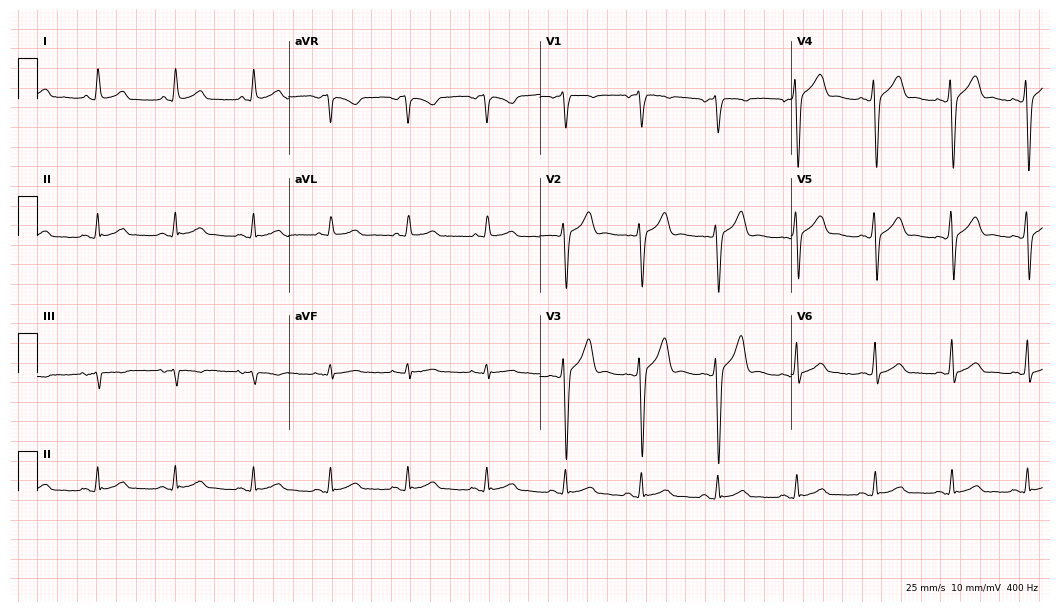
12-lead ECG from a 35-year-old male patient (10.2-second recording at 400 Hz). Recorded interpretation: within normal limits.